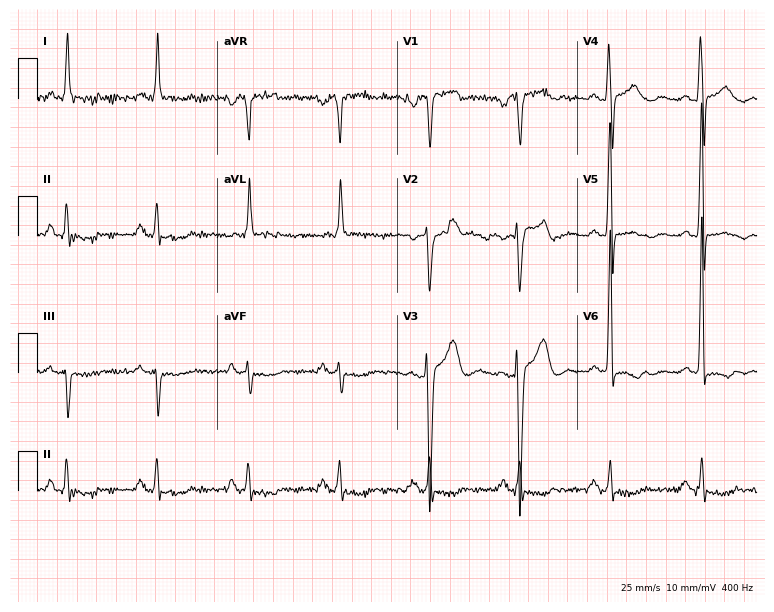
12-lead ECG from a man, 56 years old. No first-degree AV block, right bundle branch block (RBBB), left bundle branch block (LBBB), sinus bradycardia, atrial fibrillation (AF) or sinus tachycardia recorded for this tracing.